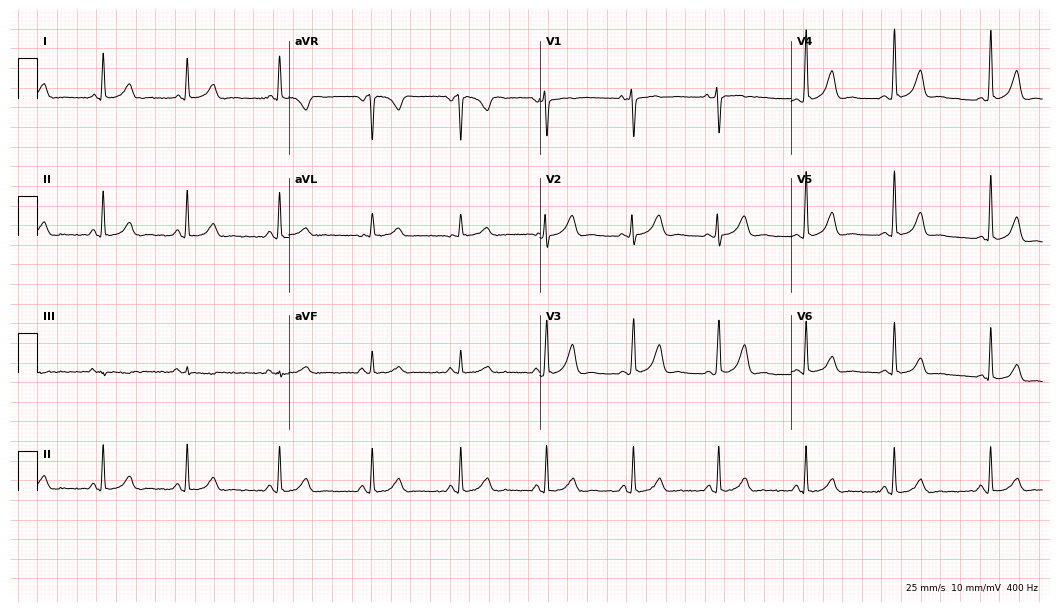
Electrocardiogram, a woman, 37 years old. Overall reading on record: normal ECG.